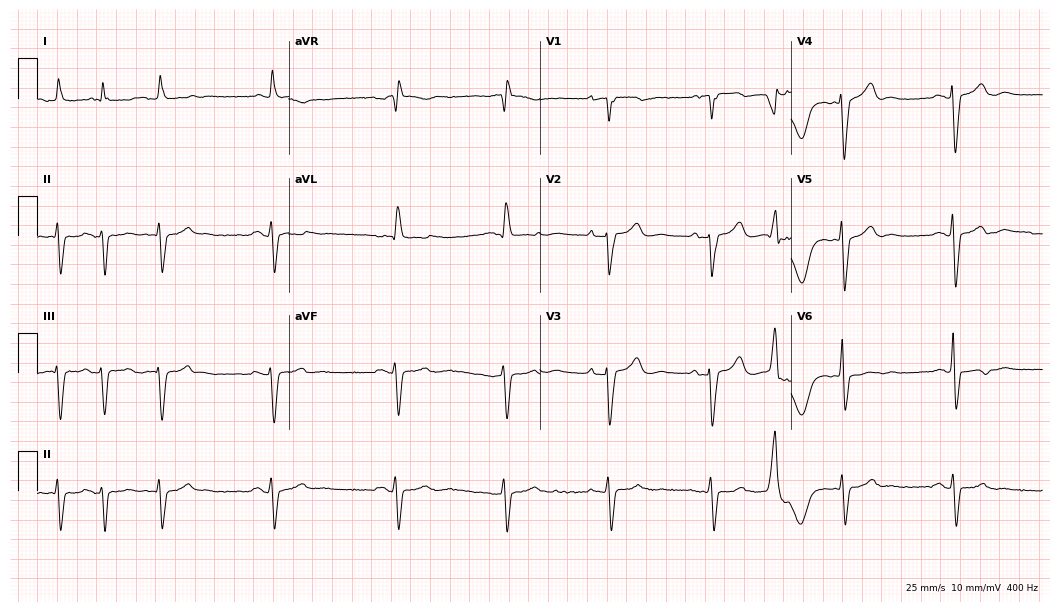
12-lead ECG (10.2-second recording at 400 Hz) from an 82-year-old man. Screened for six findings — first-degree AV block, right bundle branch block, left bundle branch block, sinus bradycardia, atrial fibrillation, sinus tachycardia — none is recorded.